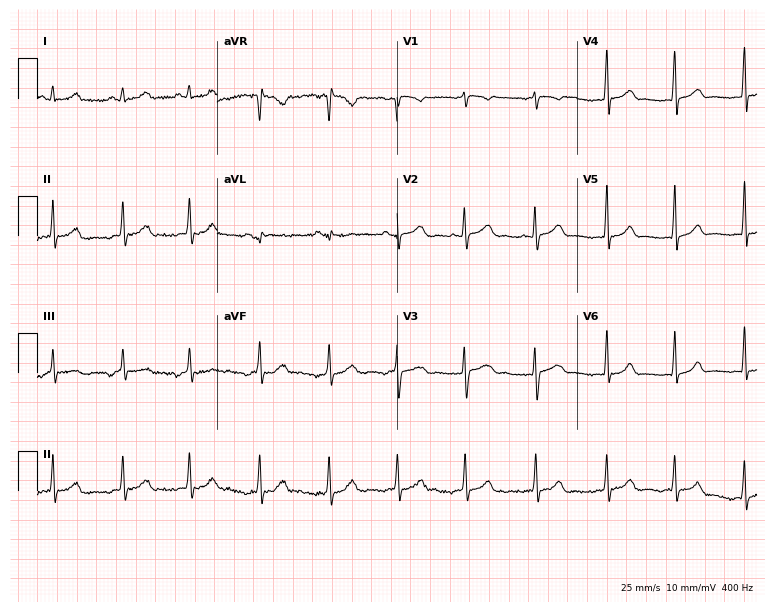
12-lead ECG from a woman, 18 years old (7.3-second recording at 400 Hz). Recorded interpretation: within normal limits.